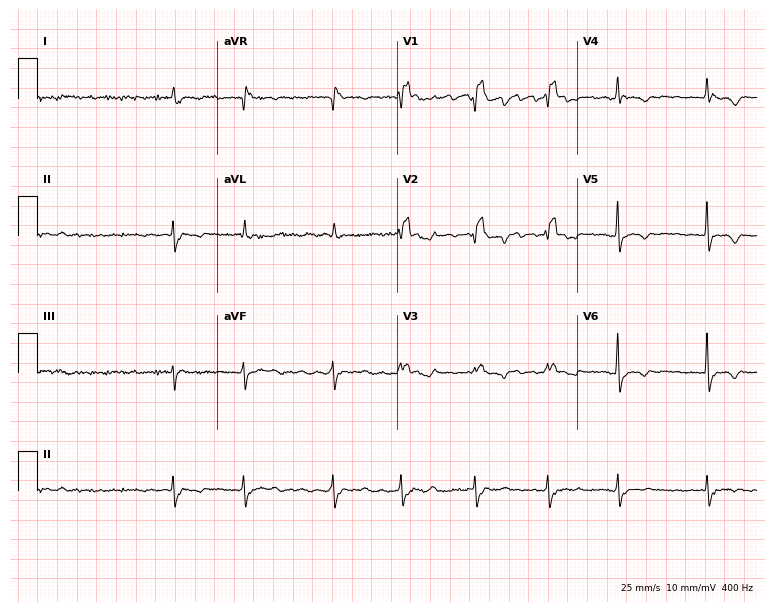
12-lead ECG from a 68-year-old female patient. Shows right bundle branch block, atrial fibrillation.